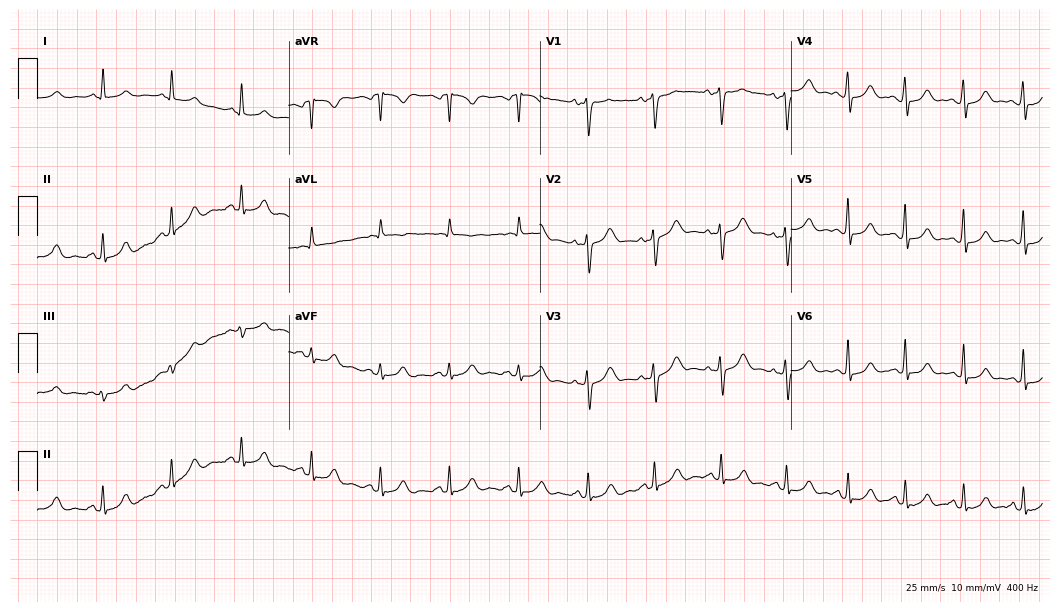
ECG — a 33-year-old female patient. Screened for six findings — first-degree AV block, right bundle branch block, left bundle branch block, sinus bradycardia, atrial fibrillation, sinus tachycardia — none is recorded. Only these six findings were labelled.